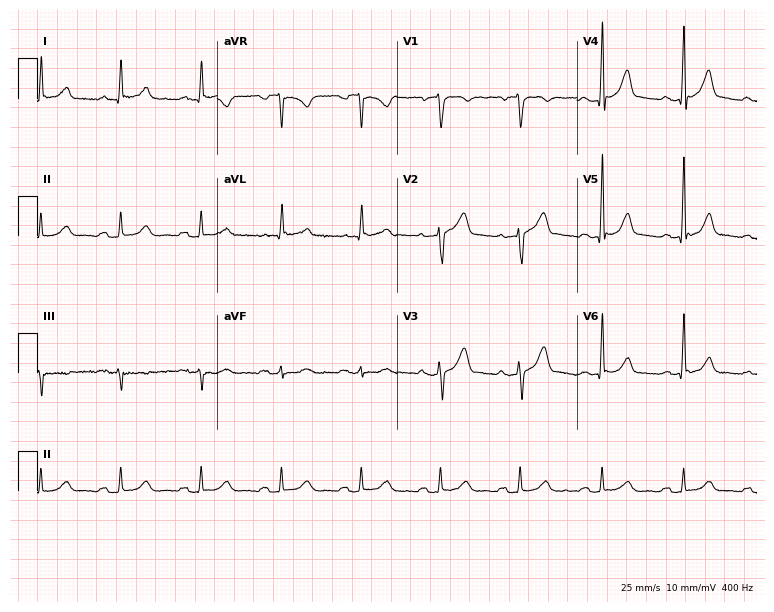
Standard 12-lead ECG recorded from a 58-year-old man. Read as a normal ECG.